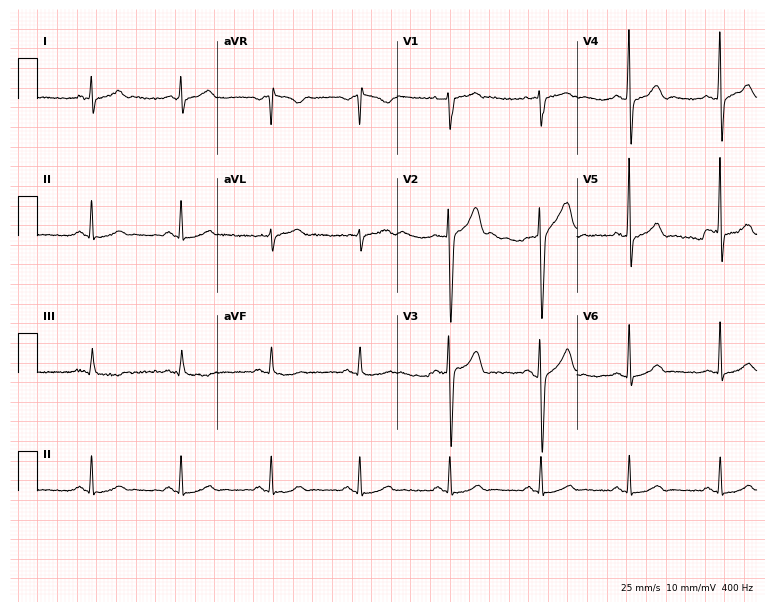
Standard 12-lead ECG recorded from a 48-year-old male (7.3-second recording at 400 Hz). Read as a normal ECG.